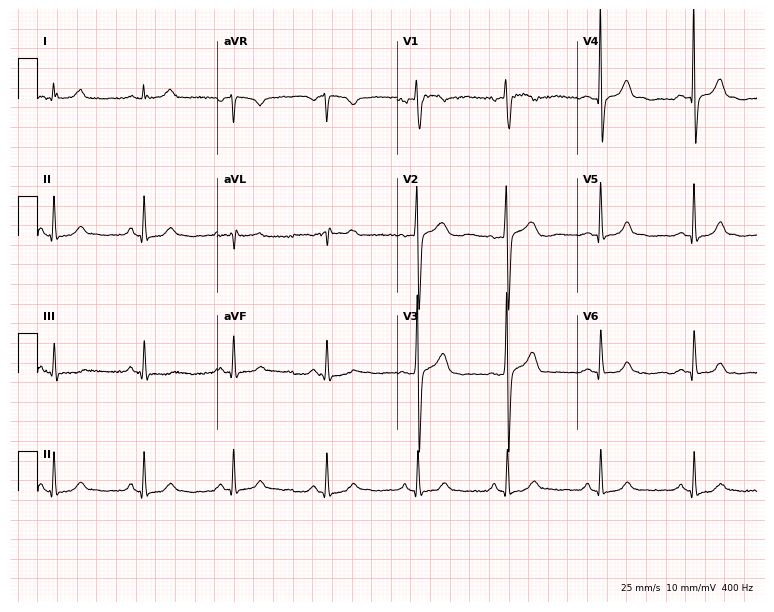
Electrocardiogram, a 40-year-old female. Overall reading on record: normal ECG.